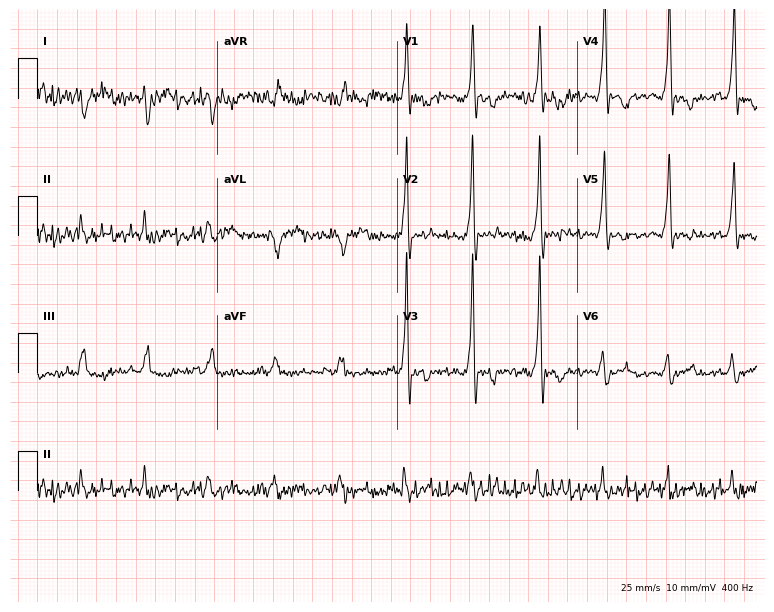
Standard 12-lead ECG recorded from a 30-year-old male patient. None of these six findings is recorded: first-degree AV block, right bundle branch block (RBBB), left bundle branch block (LBBB), sinus bradycardia, atrial fibrillation (AF), sinus tachycardia. Other findings, if any, are not listed.